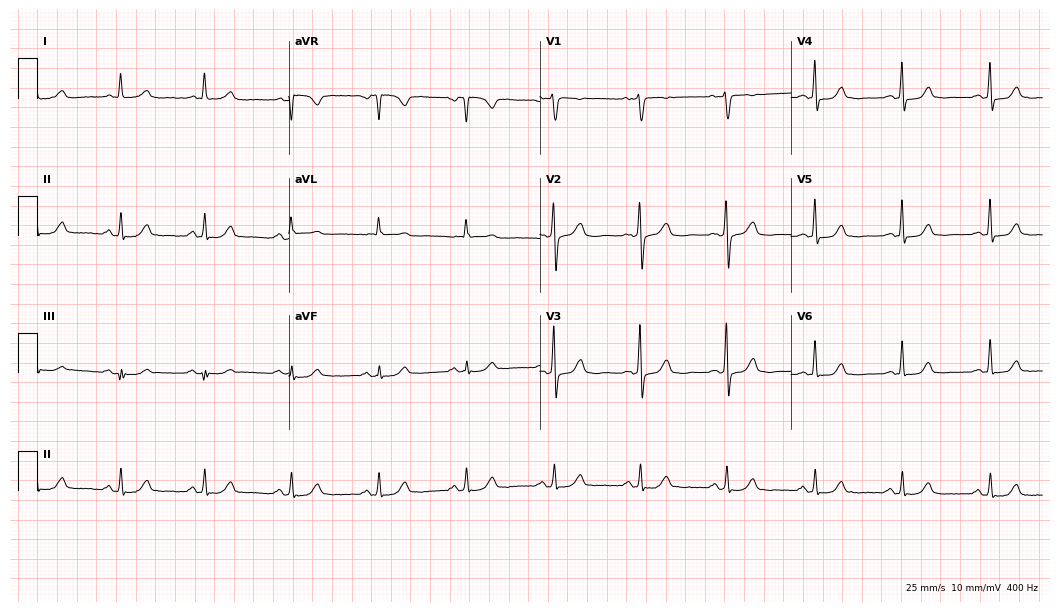
12-lead ECG from a 63-year-old female. Screened for six findings — first-degree AV block, right bundle branch block, left bundle branch block, sinus bradycardia, atrial fibrillation, sinus tachycardia — none is recorded. Other findings, if any, are not listed.